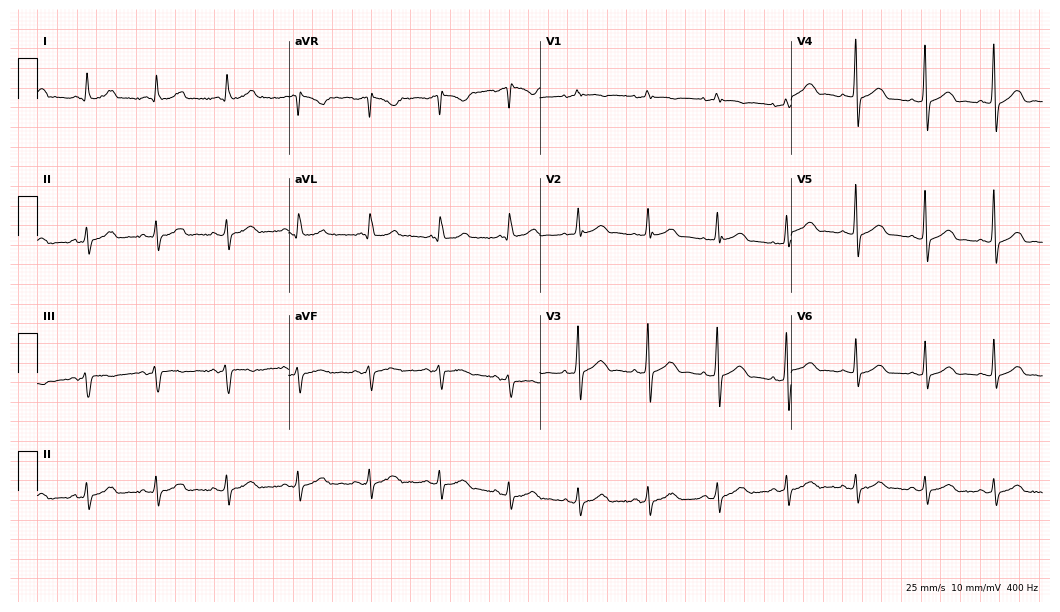
12-lead ECG from a female, 76 years old. Recorded interpretation: within normal limits.